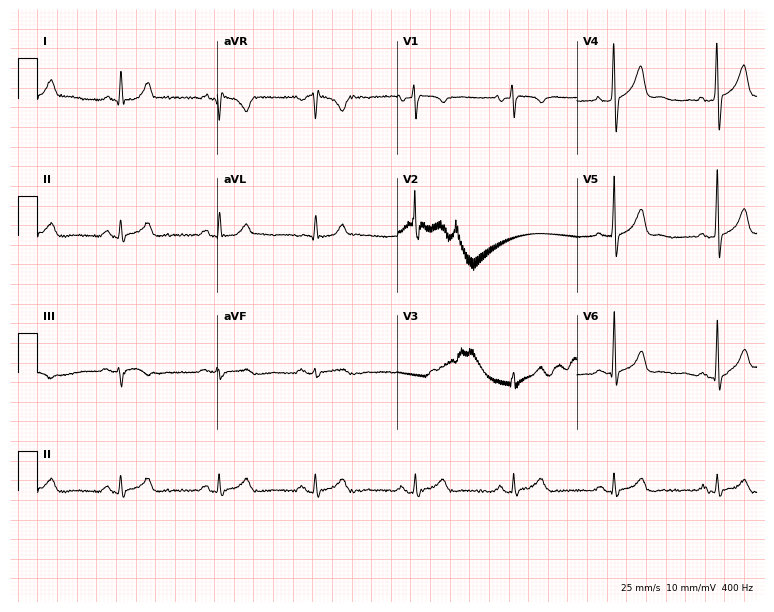
Standard 12-lead ECG recorded from a male, 56 years old (7.3-second recording at 400 Hz). None of these six findings is recorded: first-degree AV block, right bundle branch block, left bundle branch block, sinus bradycardia, atrial fibrillation, sinus tachycardia. Other findings, if any, are not listed.